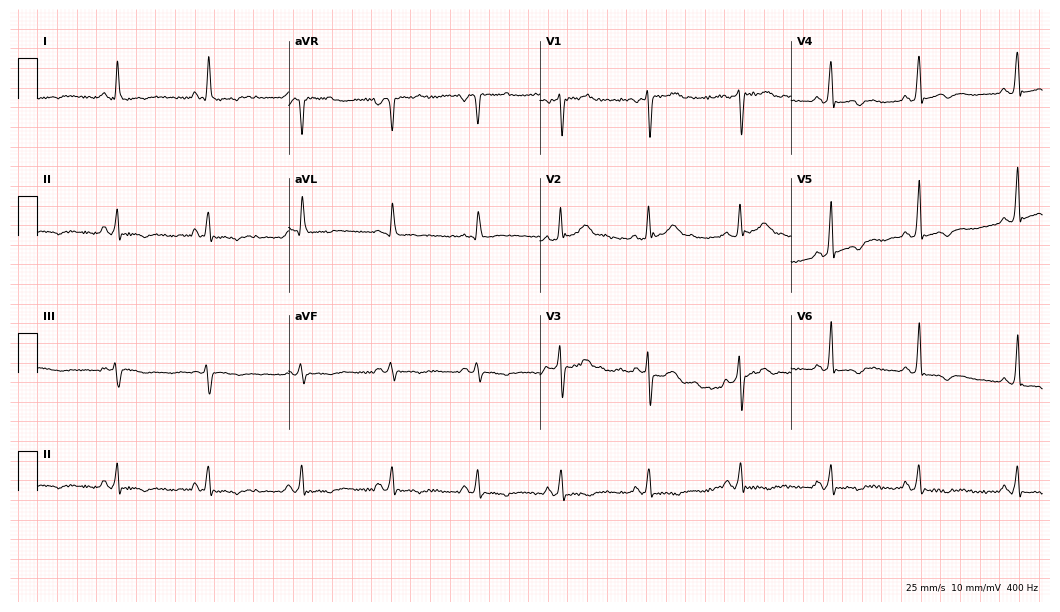
12-lead ECG from a 39-year-old male. No first-degree AV block, right bundle branch block, left bundle branch block, sinus bradycardia, atrial fibrillation or sinus tachycardia recorded for this tracing.